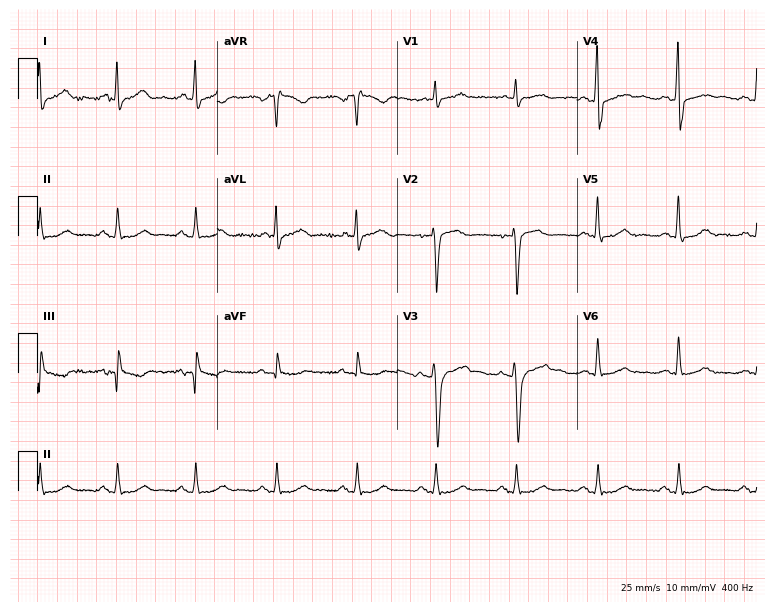
12-lead ECG (7.3-second recording at 400 Hz) from a male, 56 years old. Screened for six findings — first-degree AV block, right bundle branch block, left bundle branch block, sinus bradycardia, atrial fibrillation, sinus tachycardia — none is recorded.